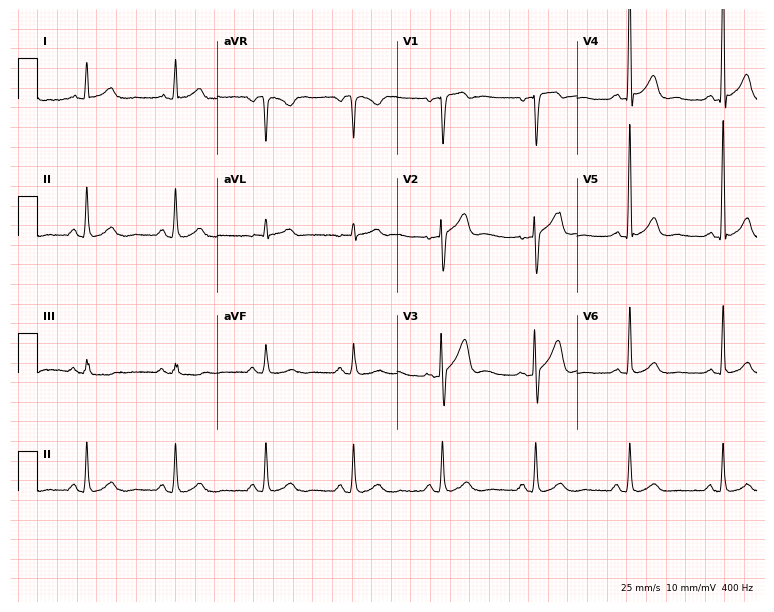
Standard 12-lead ECG recorded from a 73-year-old male. None of these six findings is recorded: first-degree AV block, right bundle branch block (RBBB), left bundle branch block (LBBB), sinus bradycardia, atrial fibrillation (AF), sinus tachycardia.